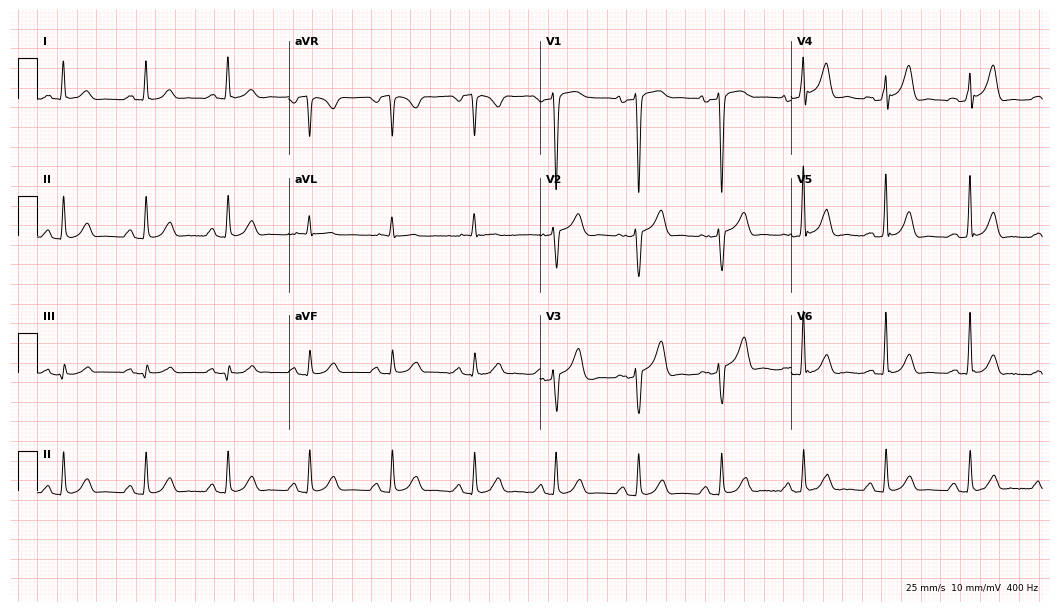
Standard 12-lead ECG recorded from a male patient, 66 years old. Read as a normal ECG.